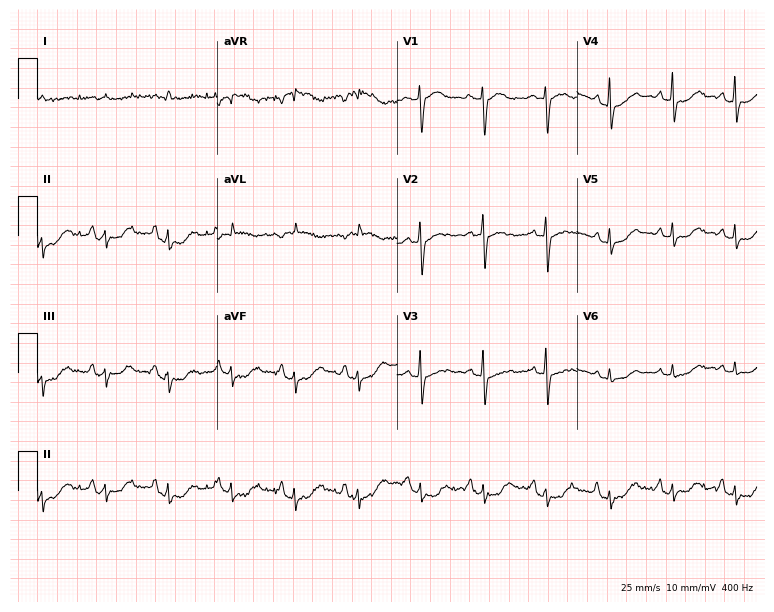
Electrocardiogram, a 76-year-old female patient. Of the six screened findings (first-degree AV block, right bundle branch block, left bundle branch block, sinus bradycardia, atrial fibrillation, sinus tachycardia), none is recorded. Findings outside these six are not listed.